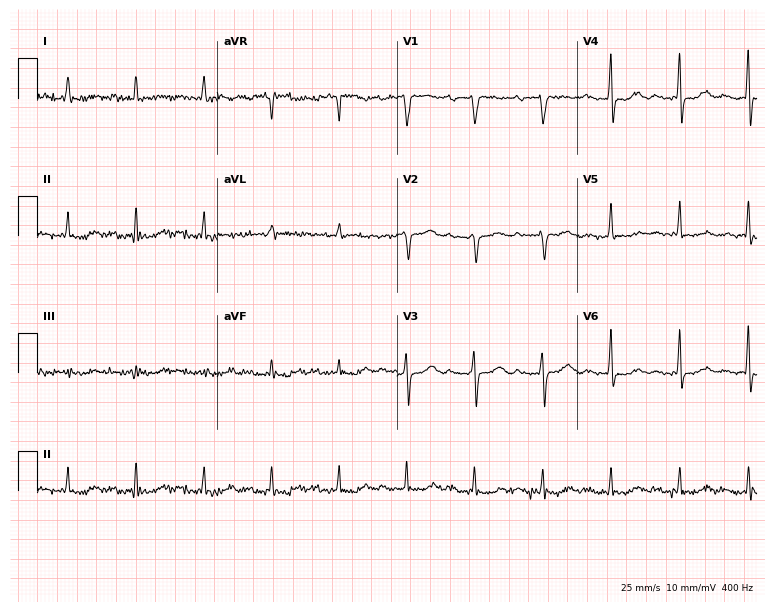
12-lead ECG (7.3-second recording at 400 Hz) from a 79-year-old male patient. Screened for six findings — first-degree AV block, right bundle branch block (RBBB), left bundle branch block (LBBB), sinus bradycardia, atrial fibrillation (AF), sinus tachycardia — none is recorded.